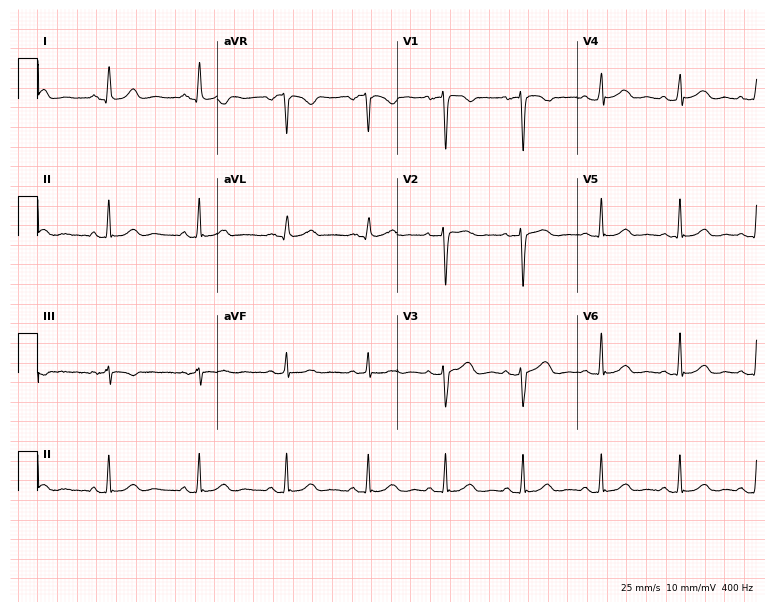
12-lead ECG from a 44-year-old woman. Recorded interpretation: within normal limits.